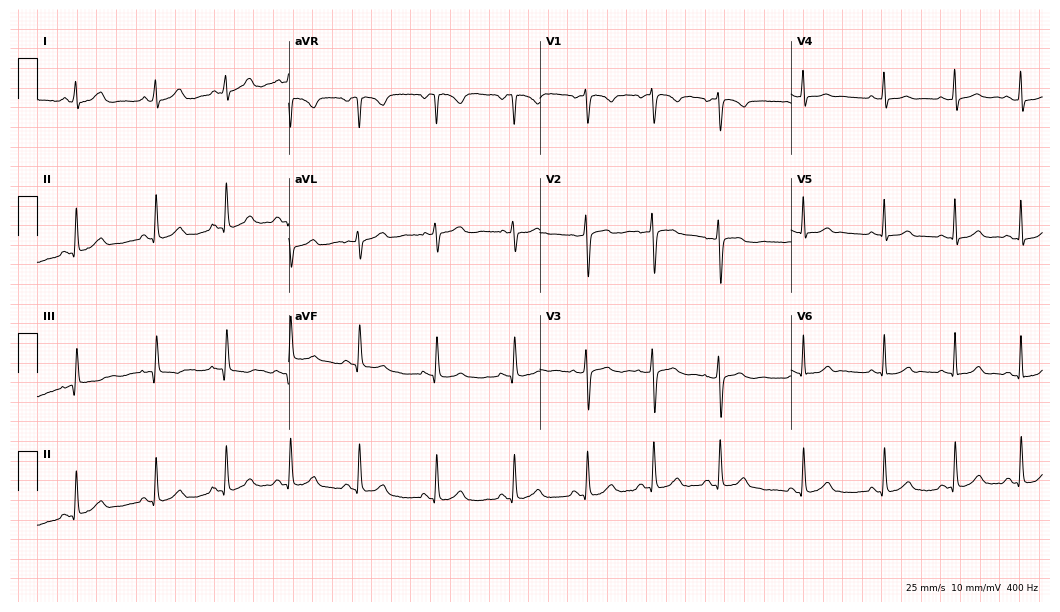
Electrocardiogram, a 40-year-old female. Of the six screened findings (first-degree AV block, right bundle branch block (RBBB), left bundle branch block (LBBB), sinus bradycardia, atrial fibrillation (AF), sinus tachycardia), none is recorded. Other findings, if any, are not listed.